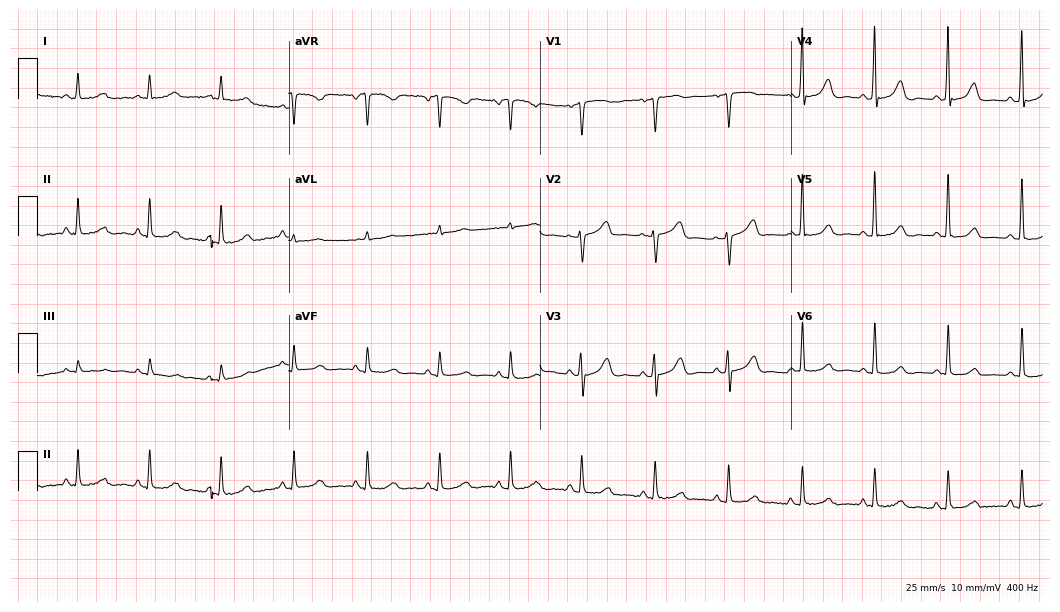
Standard 12-lead ECG recorded from a 61-year-old woman. Read as a normal ECG.